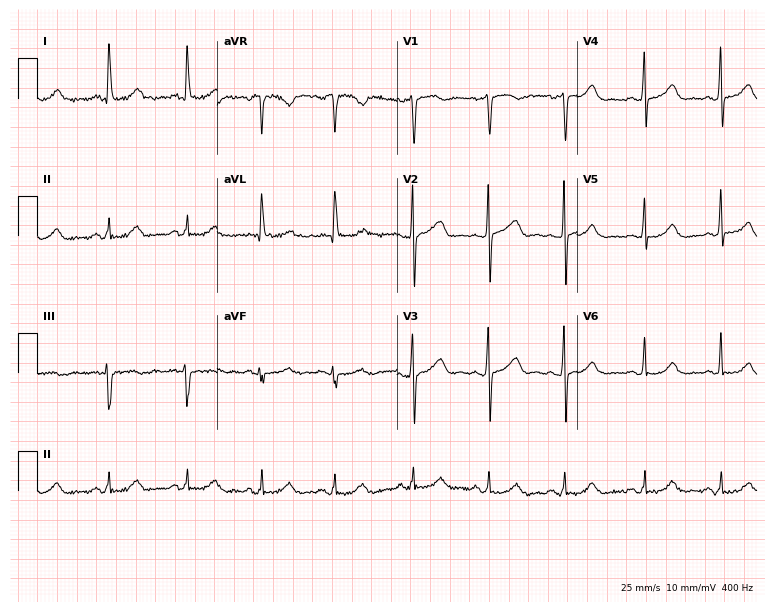
Electrocardiogram (7.3-second recording at 400 Hz), a female patient, 59 years old. Overall reading on record: normal ECG.